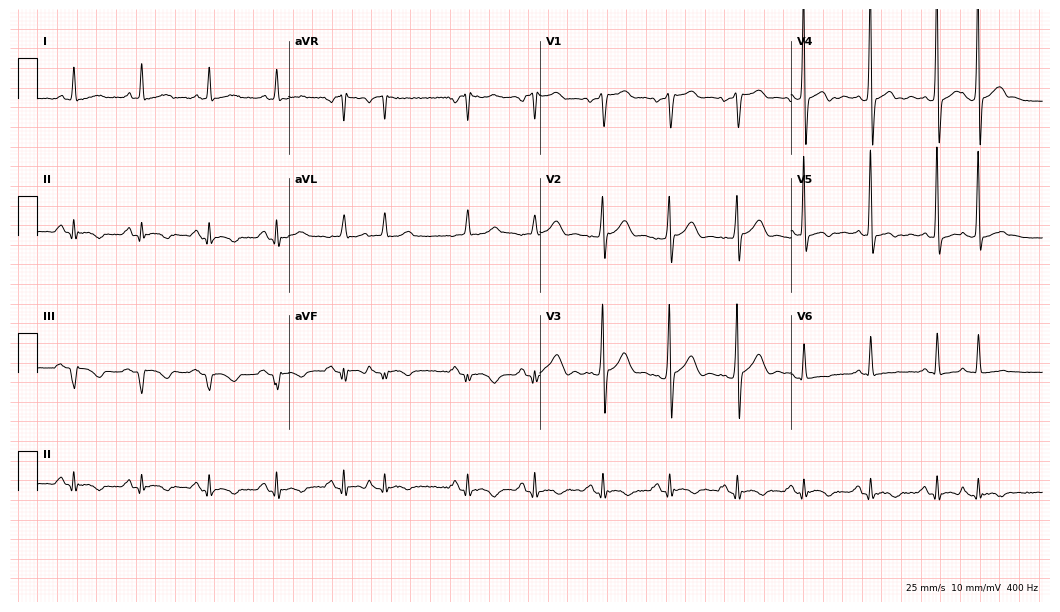
Electrocardiogram (10.2-second recording at 400 Hz), a woman, 66 years old. Of the six screened findings (first-degree AV block, right bundle branch block (RBBB), left bundle branch block (LBBB), sinus bradycardia, atrial fibrillation (AF), sinus tachycardia), none is recorded. Only these six findings were labelled.